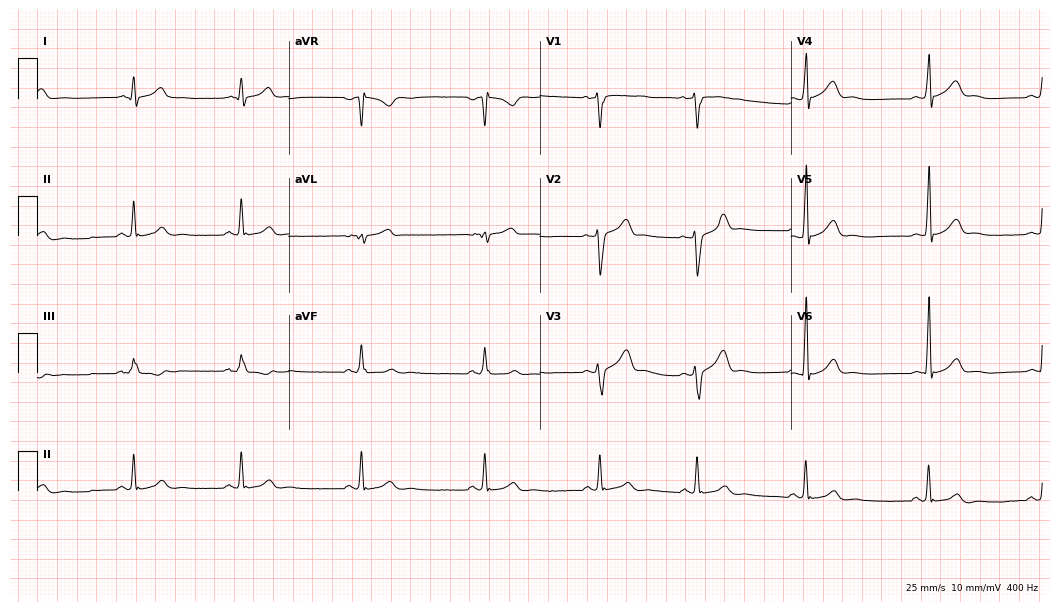
ECG — a 21-year-old male. Screened for six findings — first-degree AV block, right bundle branch block (RBBB), left bundle branch block (LBBB), sinus bradycardia, atrial fibrillation (AF), sinus tachycardia — none is recorded. Findings outside these six are not listed.